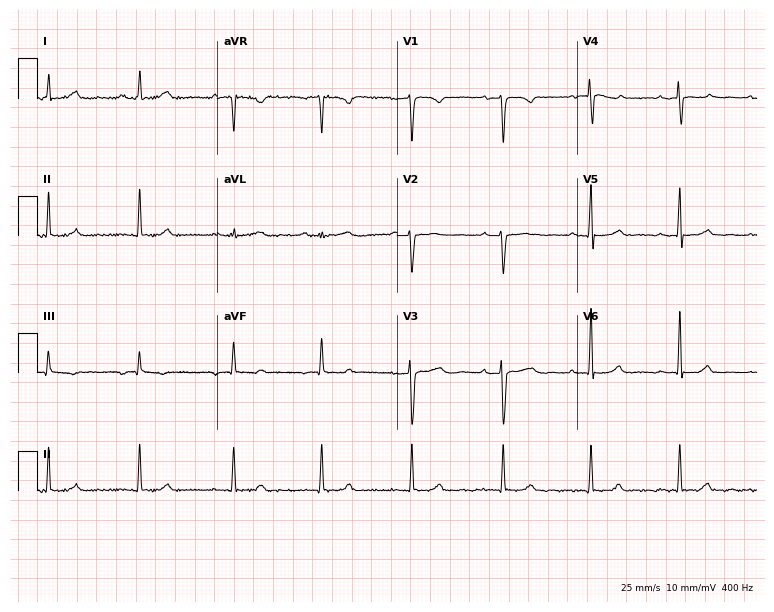
Electrocardiogram, a female patient, 51 years old. Of the six screened findings (first-degree AV block, right bundle branch block, left bundle branch block, sinus bradycardia, atrial fibrillation, sinus tachycardia), none is recorded.